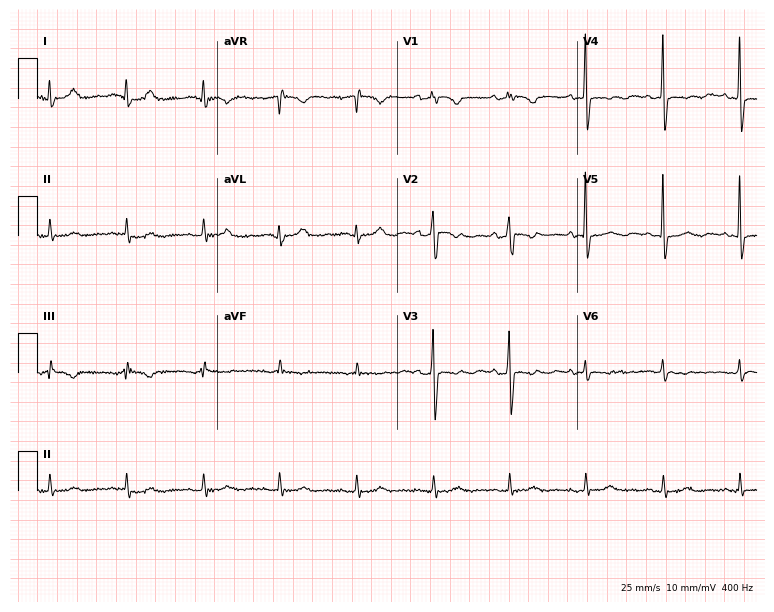
Standard 12-lead ECG recorded from a woman, 66 years old. None of these six findings is recorded: first-degree AV block, right bundle branch block, left bundle branch block, sinus bradycardia, atrial fibrillation, sinus tachycardia. Other findings, if any, are not listed.